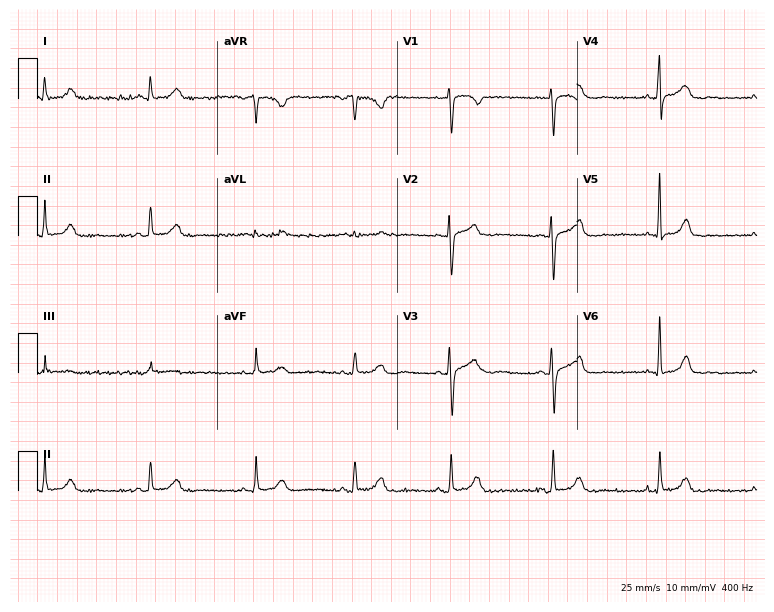
ECG (7.3-second recording at 400 Hz) — a 38-year-old woman. Labelled as a normal ECG.